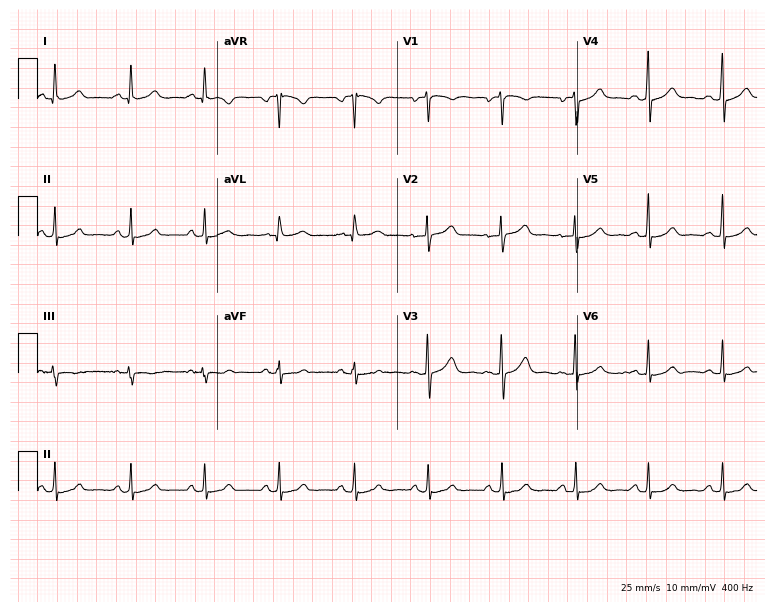
ECG (7.3-second recording at 400 Hz) — a 45-year-old female. Labelled as a normal ECG.